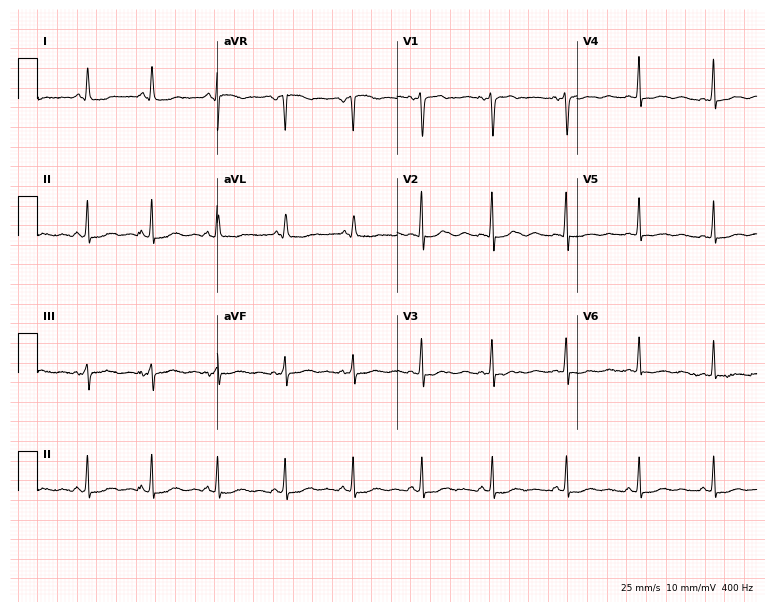
Electrocardiogram (7.3-second recording at 400 Hz), a woman, 35 years old. Of the six screened findings (first-degree AV block, right bundle branch block, left bundle branch block, sinus bradycardia, atrial fibrillation, sinus tachycardia), none is recorded. Other findings, if any, are not listed.